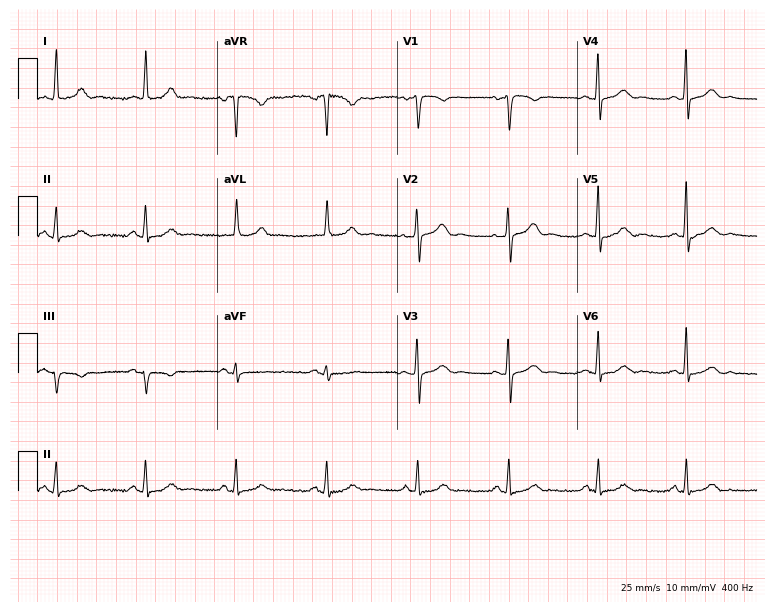
12-lead ECG from a 52-year-old female. Labelled as a normal ECG.